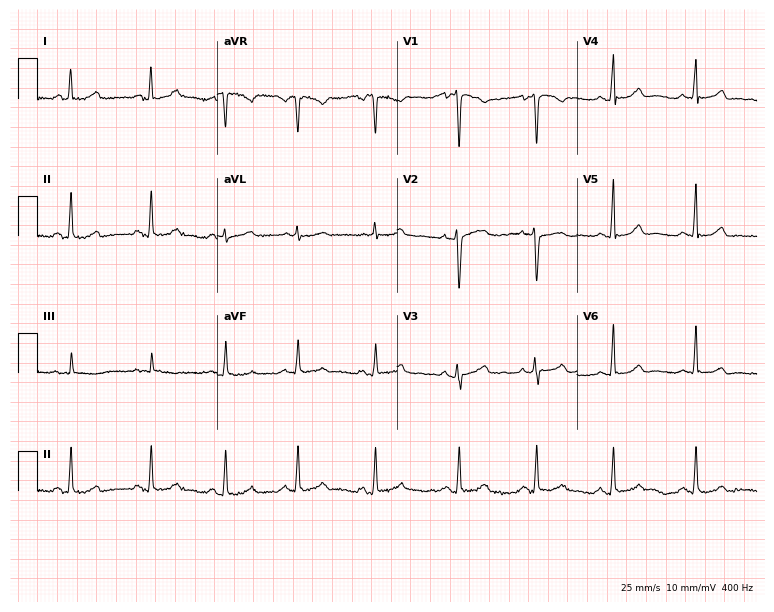
12-lead ECG from a 22-year-old female patient (7.3-second recording at 400 Hz). Recorded interpretation: within normal limits.